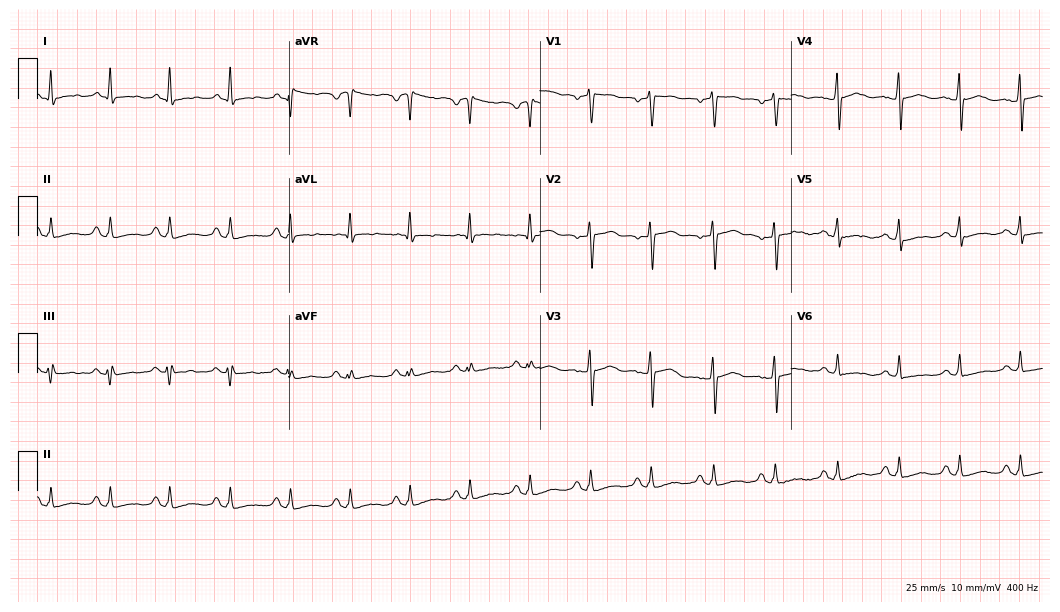
ECG (10.2-second recording at 400 Hz) — a woman, 48 years old. Screened for six findings — first-degree AV block, right bundle branch block, left bundle branch block, sinus bradycardia, atrial fibrillation, sinus tachycardia — none is recorded. Findings outside these six are not listed.